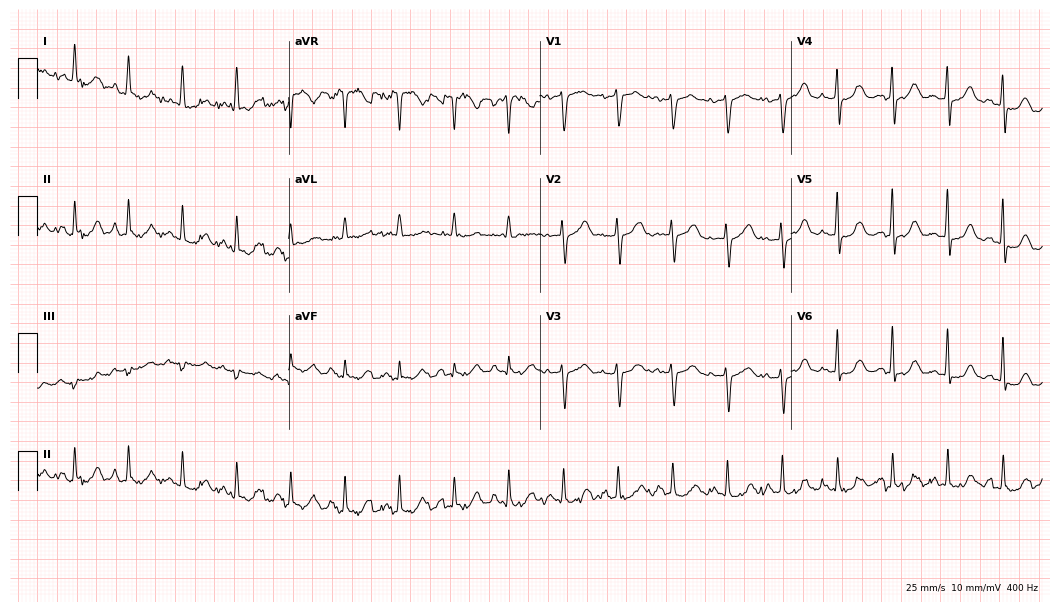
Standard 12-lead ECG recorded from a female patient, 61 years old (10.2-second recording at 400 Hz). The tracing shows sinus tachycardia (a sinus rate of 100 beats per minute or more).